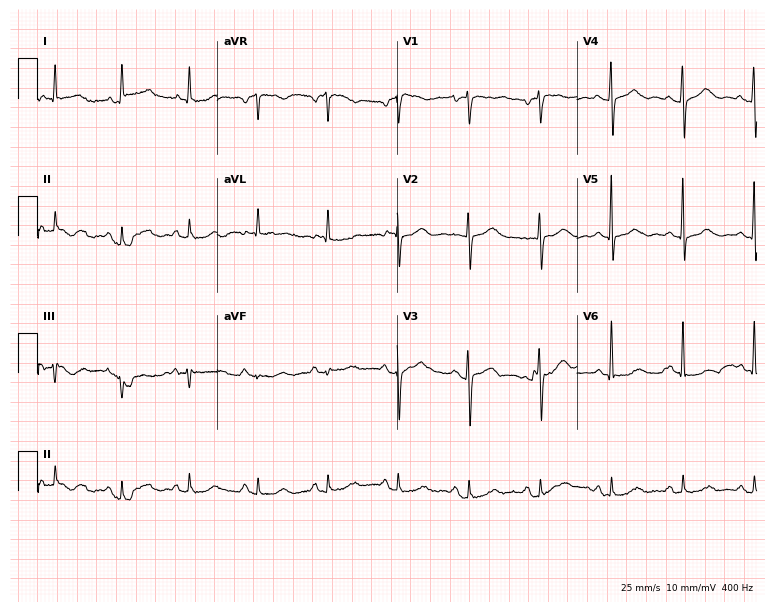
Electrocardiogram (7.3-second recording at 400 Hz), a 65-year-old woman. Of the six screened findings (first-degree AV block, right bundle branch block, left bundle branch block, sinus bradycardia, atrial fibrillation, sinus tachycardia), none is recorded.